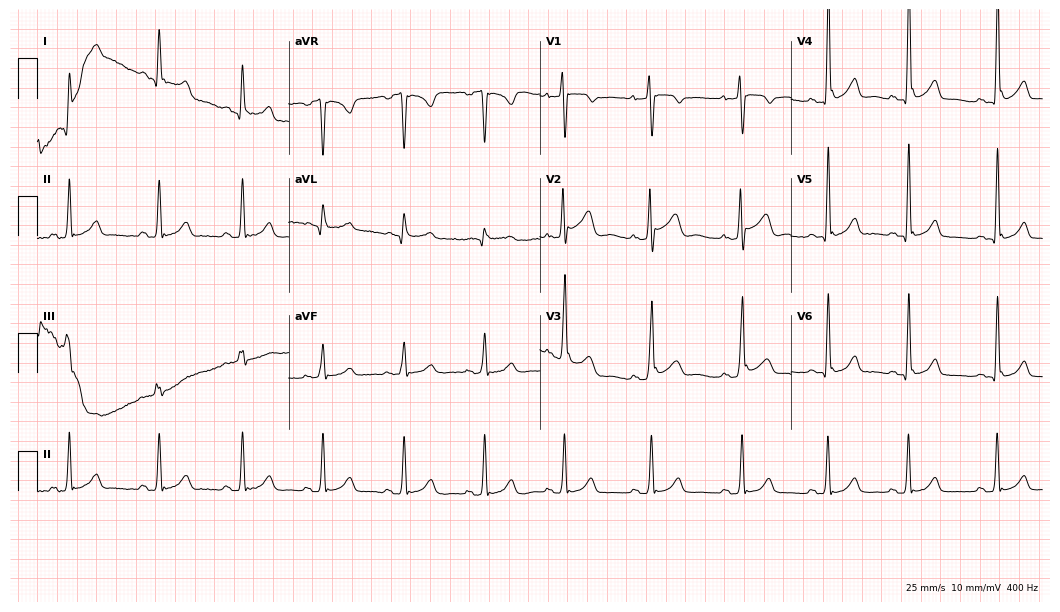
Electrocardiogram, a male patient, 35 years old. Of the six screened findings (first-degree AV block, right bundle branch block, left bundle branch block, sinus bradycardia, atrial fibrillation, sinus tachycardia), none is recorded.